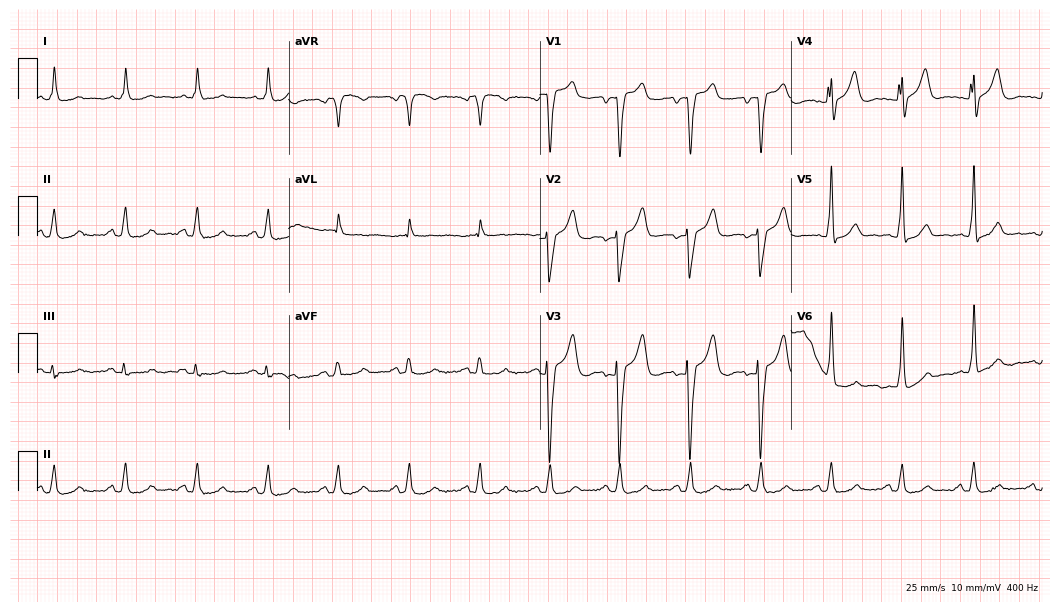
Resting 12-lead electrocardiogram (10.2-second recording at 400 Hz). Patient: a 70-year-old man. None of these six findings is recorded: first-degree AV block, right bundle branch block, left bundle branch block, sinus bradycardia, atrial fibrillation, sinus tachycardia. Other findings, if any, are not listed.